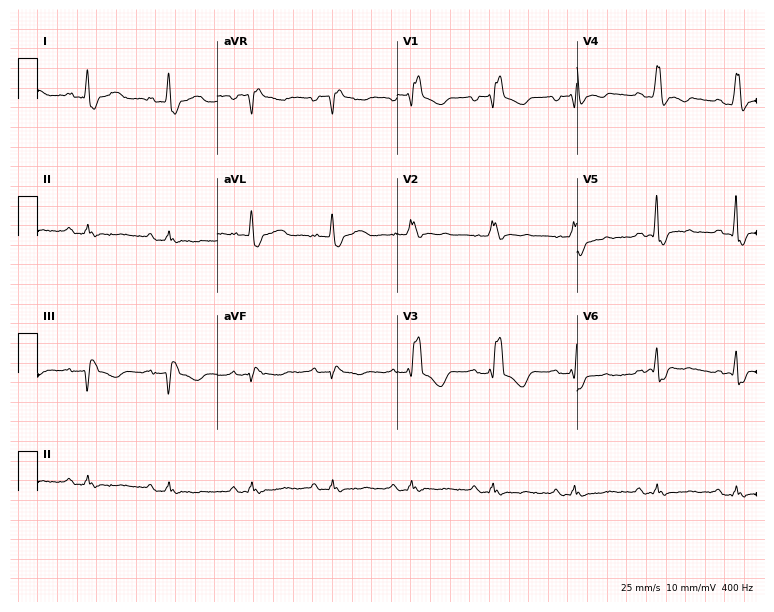
12-lead ECG from a 63-year-old man. Findings include right bundle branch block.